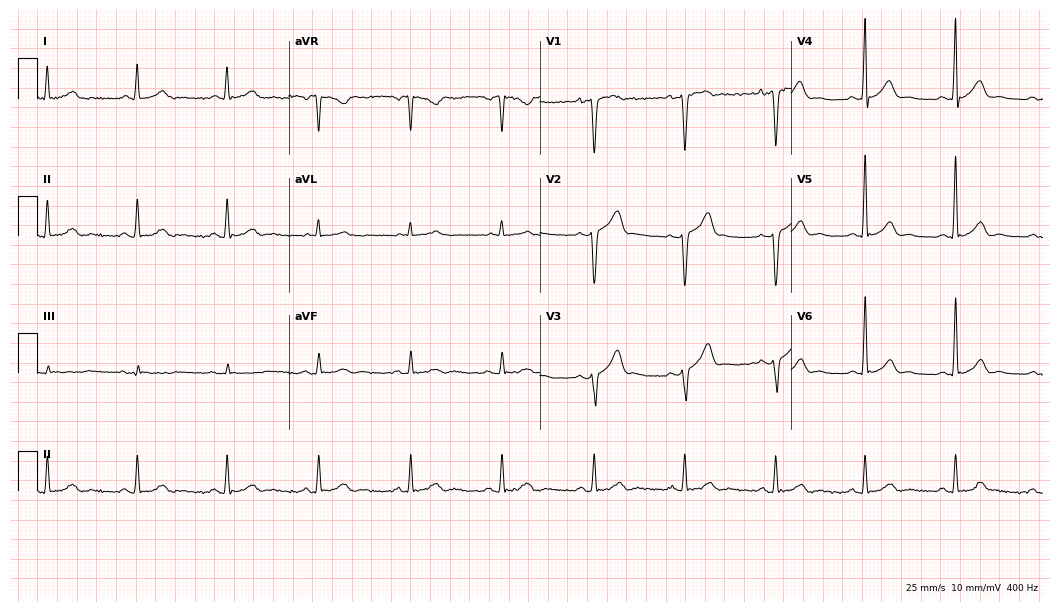
12-lead ECG from a female, 44 years old (10.2-second recording at 400 Hz). Recorded interpretation: within normal limits.